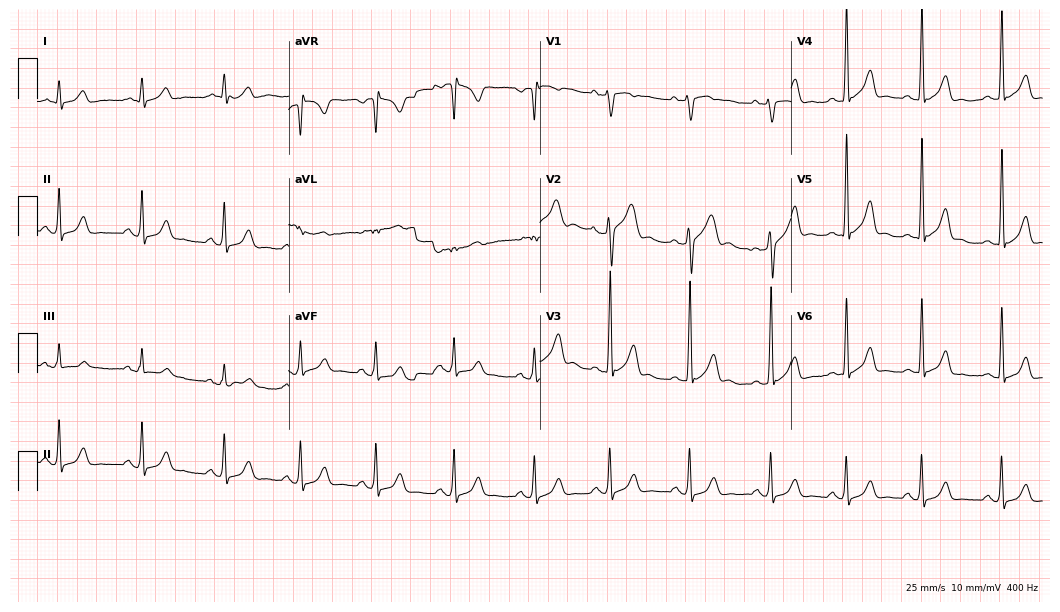
12-lead ECG from a 31-year-old man. Labelled as a normal ECG.